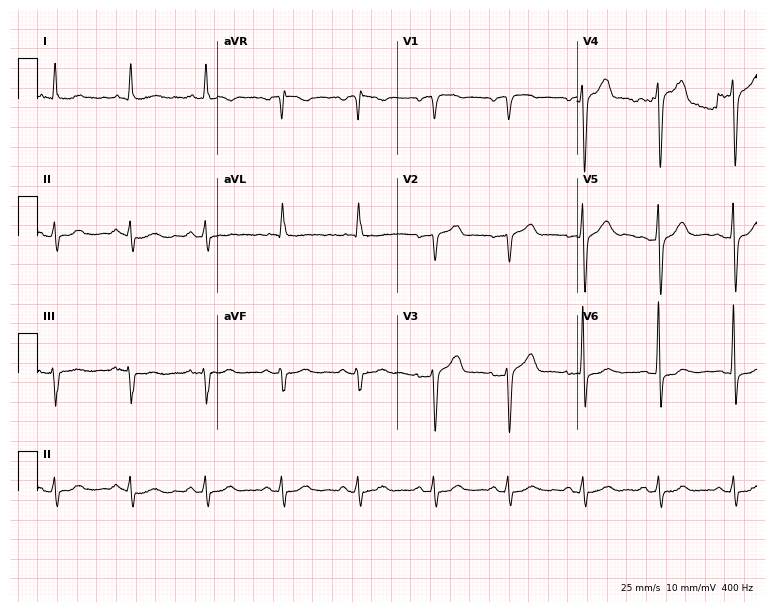
Standard 12-lead ECG recorded from a 69-year-old male (7.3-second recording at 400 Hz). Read as a normal ECG.